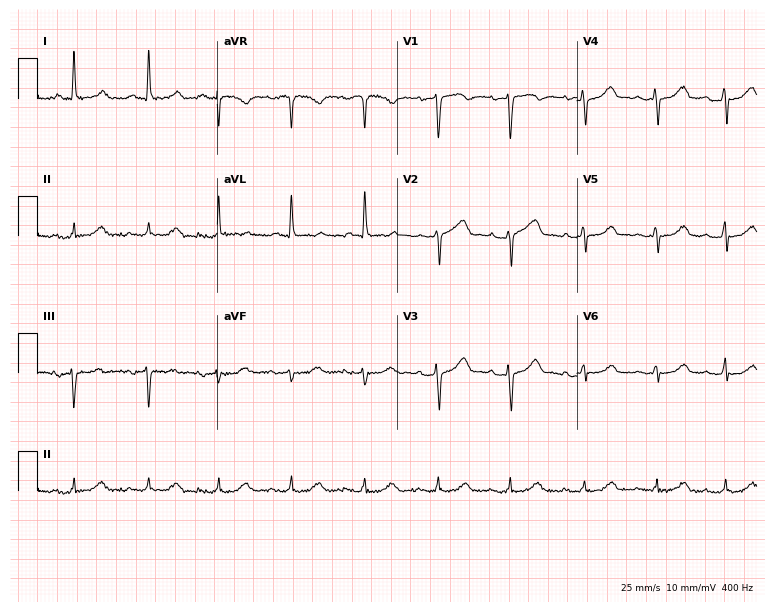
ECG (7.3-second recording at 400 Hz) — a 68-year-old woman. Labelled as a normal ECG.